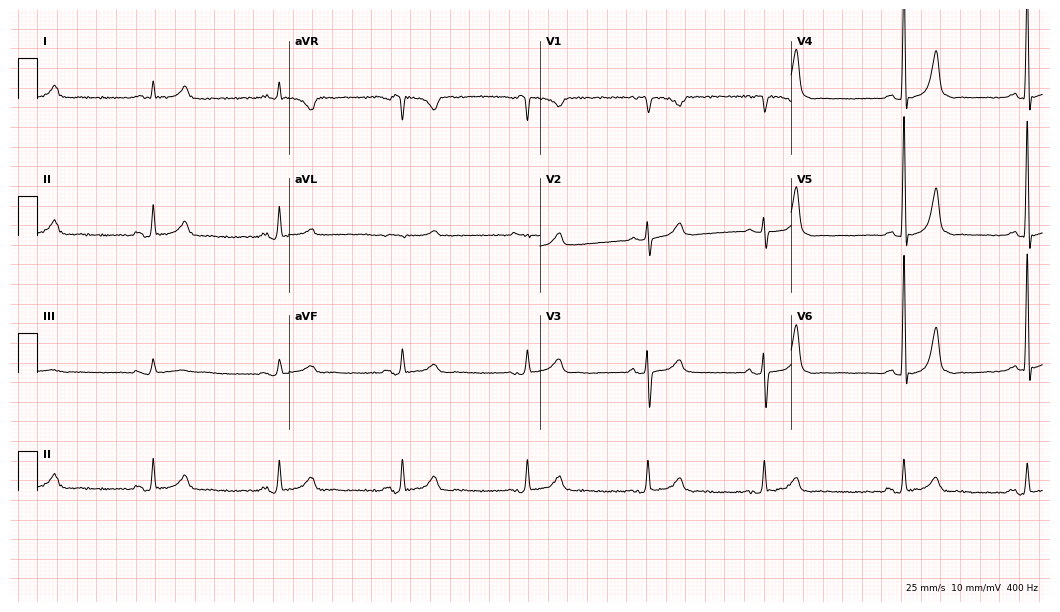
Standard 12-lead ECG recorded from a male, 75 years old. Read as a normal ECG.